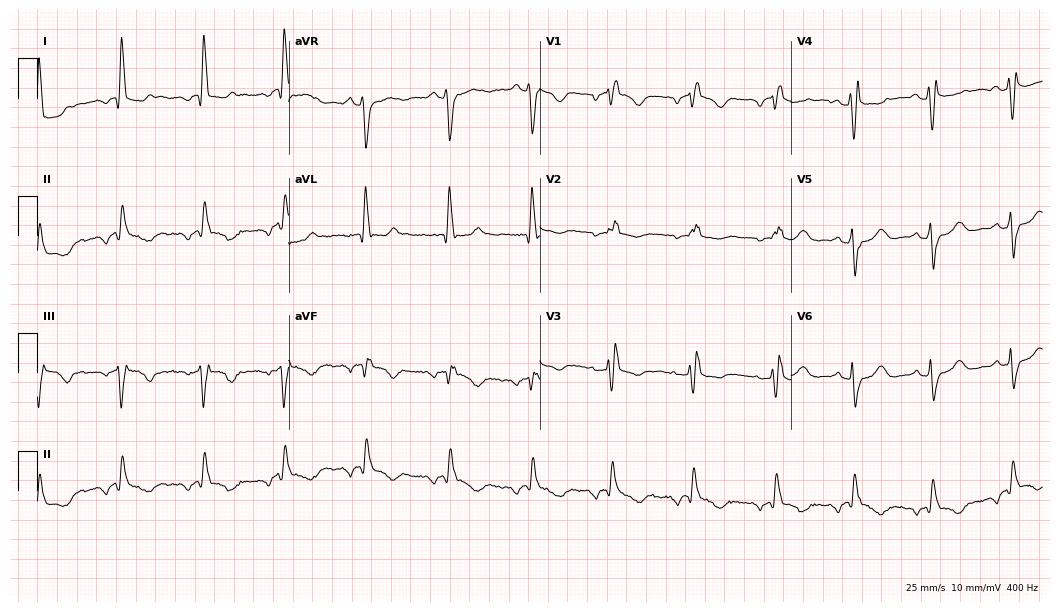
12-lead ECG from a female patient, 82 years old (10.2-second recording at 400 Hz). No first-degree AV block, right bundle branch block (RBBB), left bundle branch block (LBBB), sinus bradycardia, atrial fibrillation (AF) or sinus tachycardia recorded for this tracing.